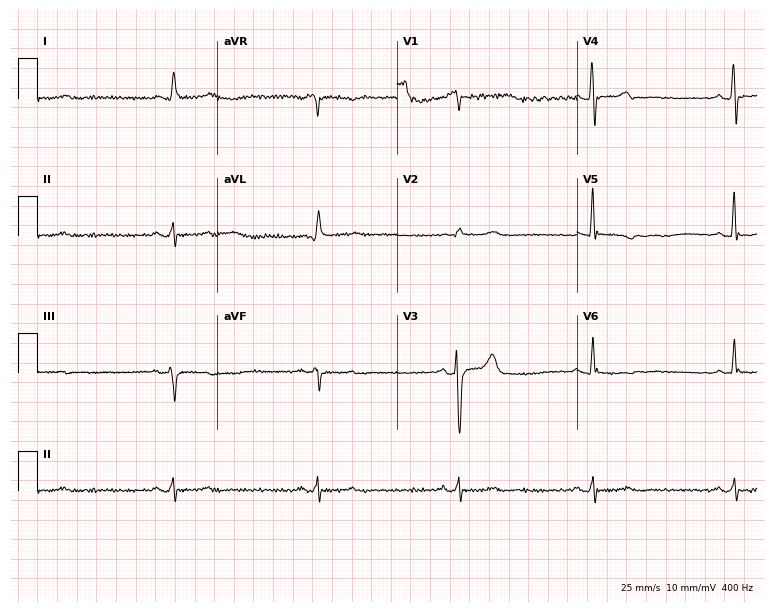
ECG — a male patient, 49 years old. Screened for six findings — first-degree AV block, right bundle branch block (RBBB), left bundle branch block (LBBB), sinus bradycardia, atrial fibrillation (AF), sinus tachycardia — none is recorded. Only these six findings were labelled.